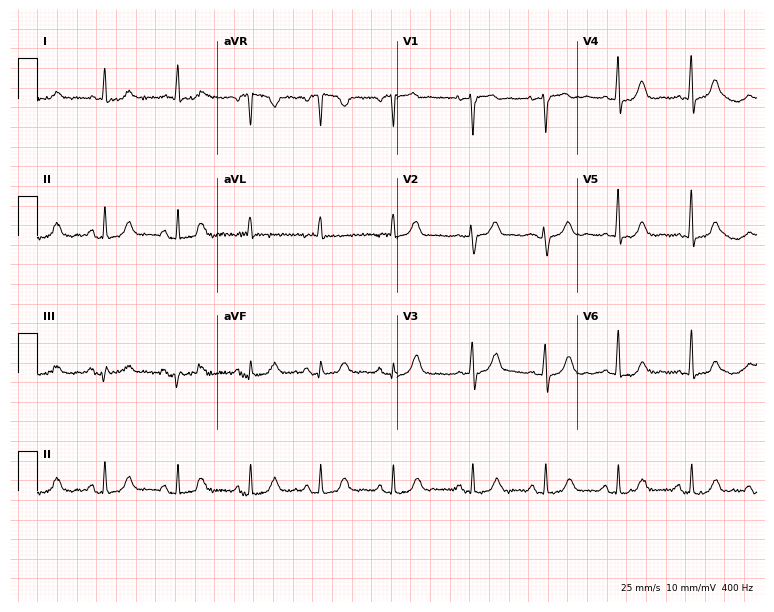
Electrocardiogram, a woman, 77 years old. Of the six screened findings (first-degree AV block, right bundle branch block (RBBB), left bundle branch block (LBBB), sinus bradycardia, atrial fibrillation (AF), sinus tachycardia), none is recorded. Findings outside these six are not listed.